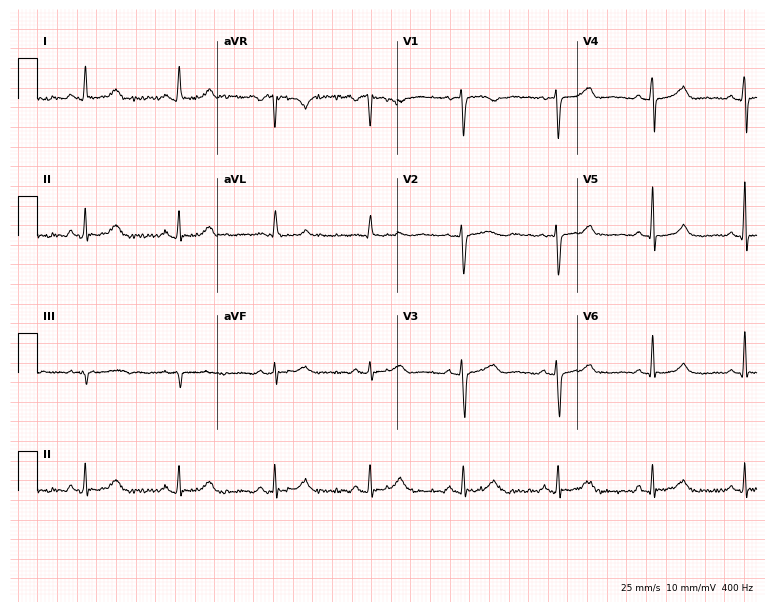
12-lead ECG (7.3-second recording at 400 Hz) from a 65-year-old woman. Labelled as a normal ECG.